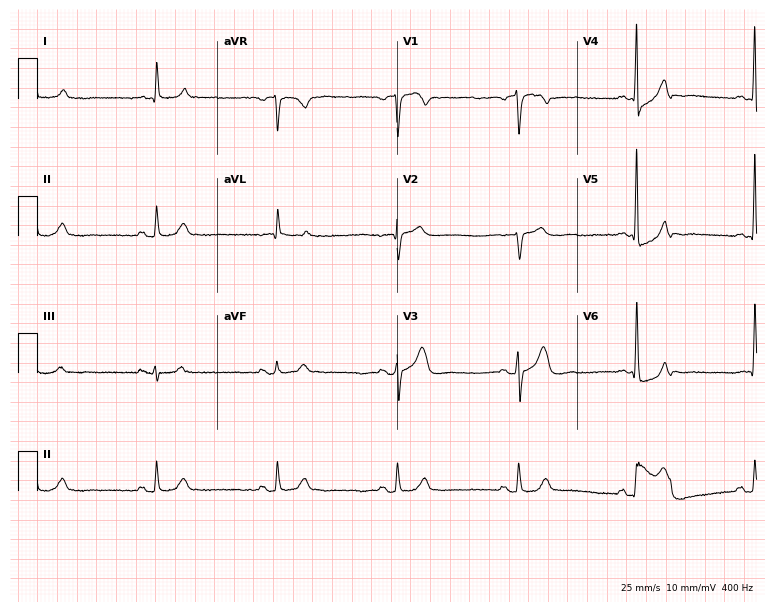
ECG (7.3-second recording at 400 Hz) — a 78-year-old man. Findings include sinus bradycardia (a sinus rate of 50 beats per minute or less).